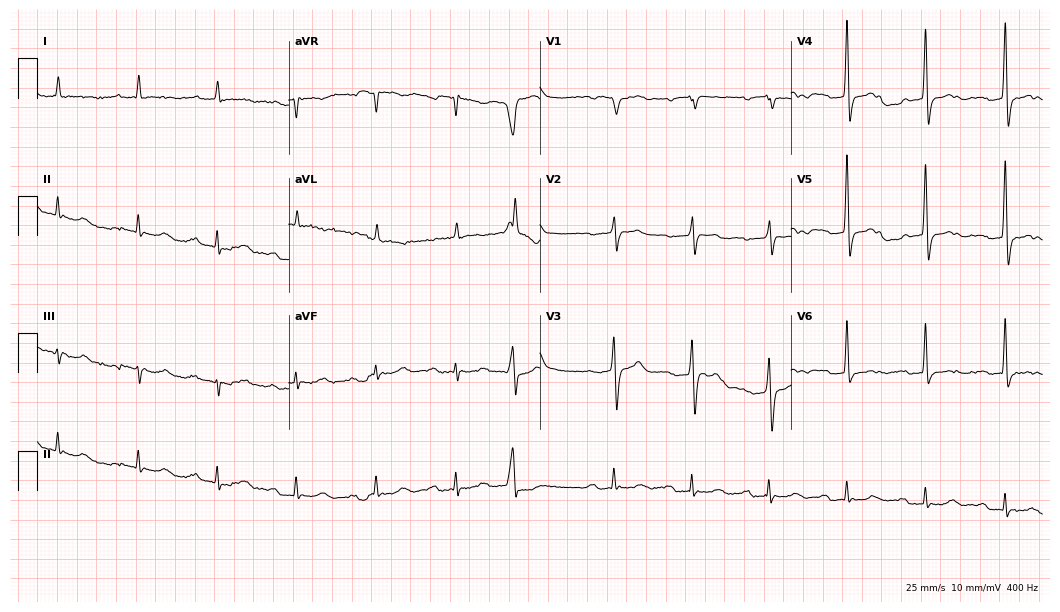
Resting 12-lead electrocardiogram (10.2-second recording at 400 Hz). Patient: an 84-year-old man. The tracing shows first-degree AV block.